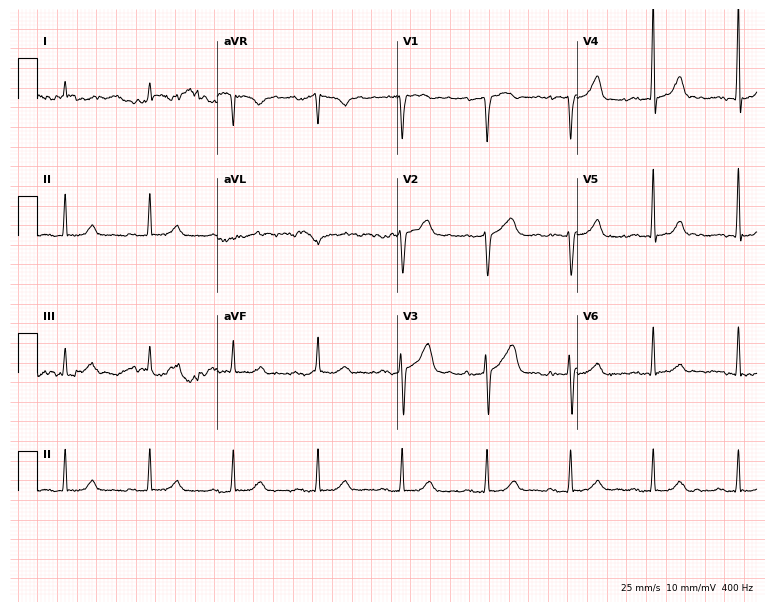
12-lead ECG (7.3-second recording at 400 Hz) from a 68-year-old male. Labelled as a normal ECG.